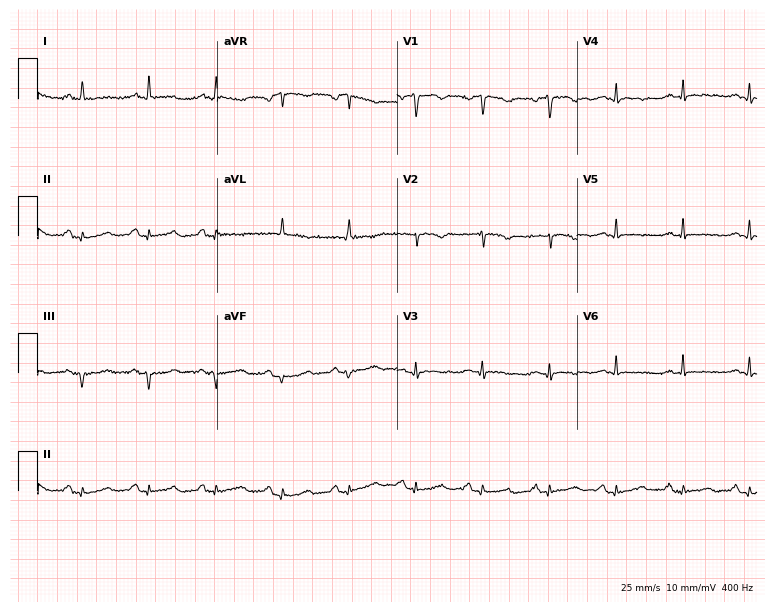
ECG (7.3-second recording at 400 Hz) — a man, 68 years old. Screened for six findings — first-degree AV block, right bundle branch block, left bundle branch block, sinus bradycardia, atrial fibrillation, sinus tachycardia — none is recorded. Other findings, if any, are not listed.